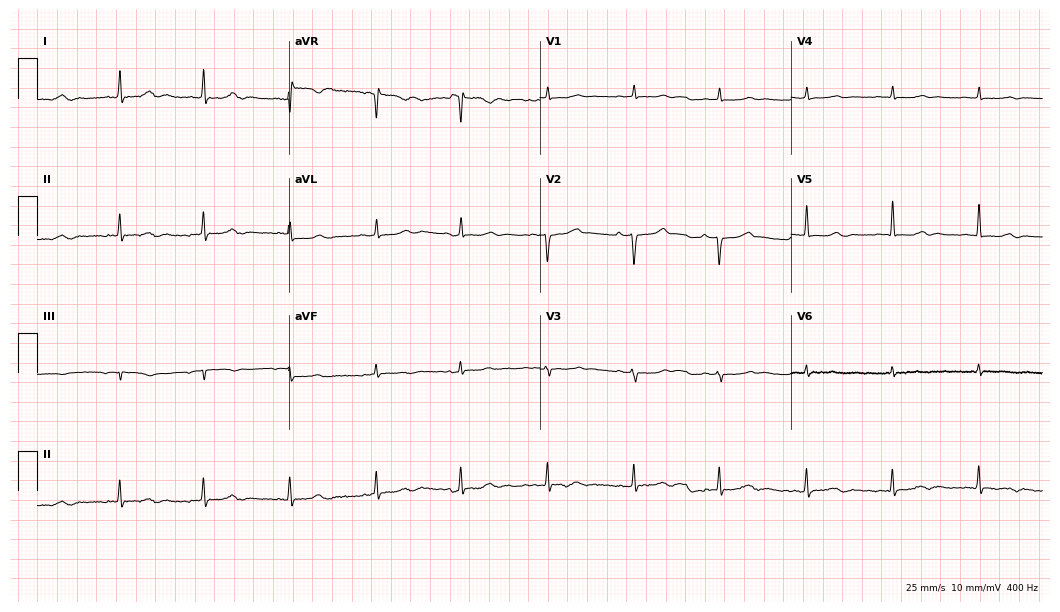
Resting 12-lead electrocardiogram (10.2-second recording at 400 Hz). Patient: a 62-year-old woman. None of these six findings is recorded: first-degree AV block, right bundle branch block, left bundle branch block, sinus bradycardia, atrial fibrillation, sinus tachycardia.